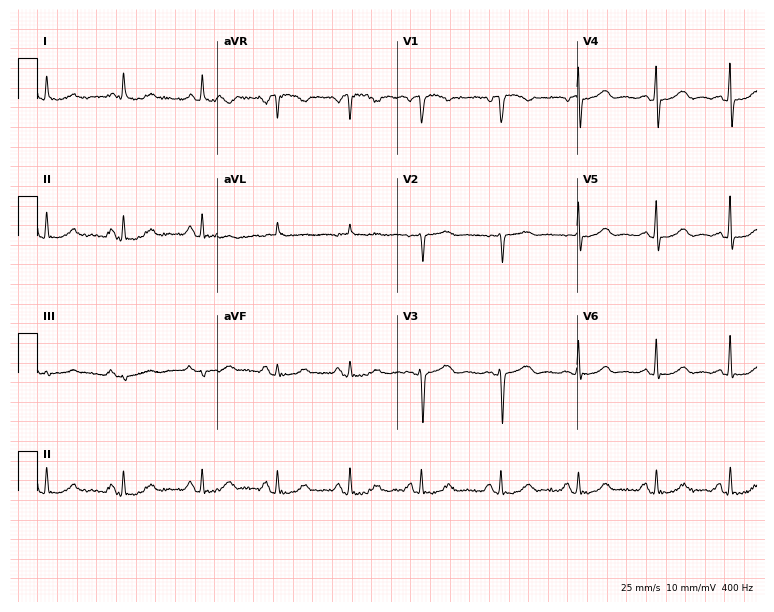
ECG — a woman, 79 years old. Labelled as a normal ECG.